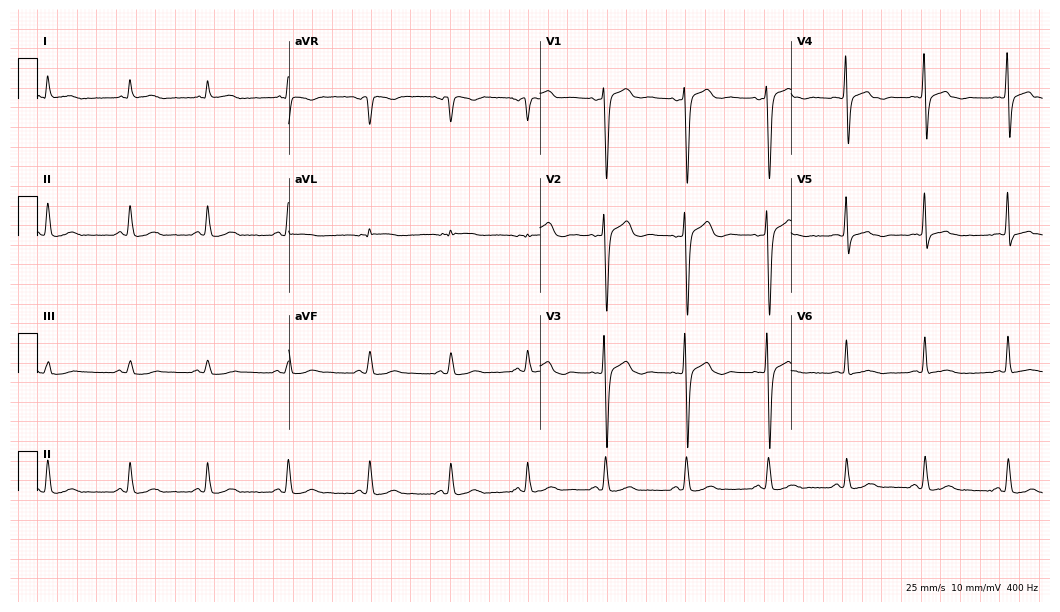
Resting 12-lead electrocardiogram. Patient: a 40-year-old male. None of these six findings is recorded: first-degree AV block, right bundle branch block, left bundle branch block, sinus bradycardia, atrial fibrillation, sinus tachycardia. Other findings, if any, are not listed.